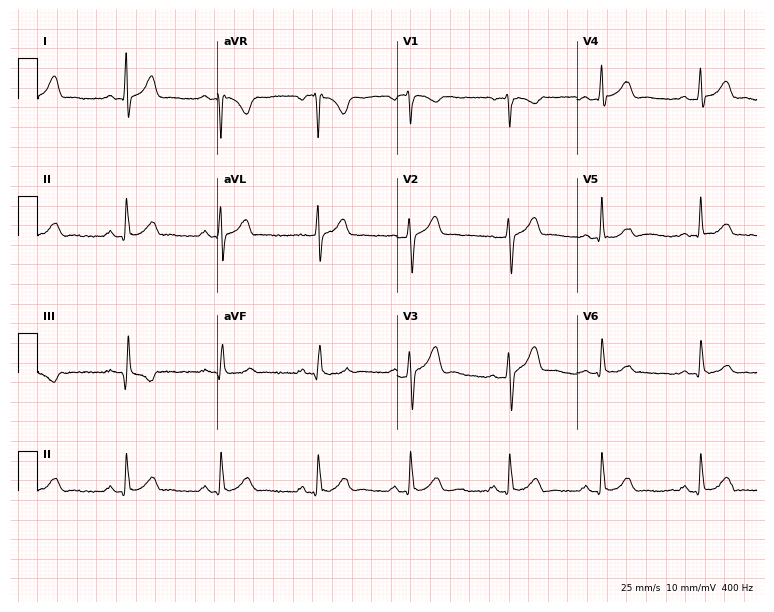
Standard 12-lead ECG recorded from a man, 33 years old. Read as a normal ECG.